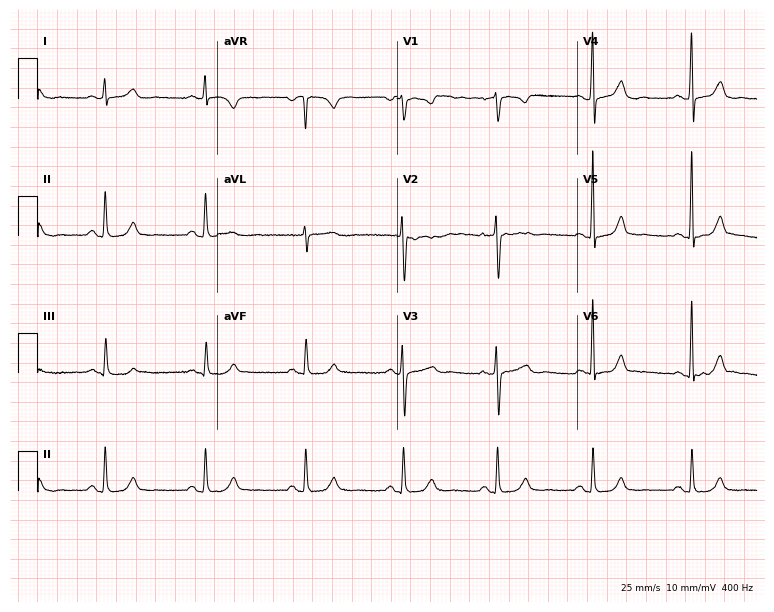
12-lead ECG (7.3-second recording at 400 Hz) from a 44-year-old female. Screened for six findings — first-degree AV block, right bundle branch block, left bundle branch block, sinus bradycardia, atrial fibrillation, sinus tachycardia — none is recorded.